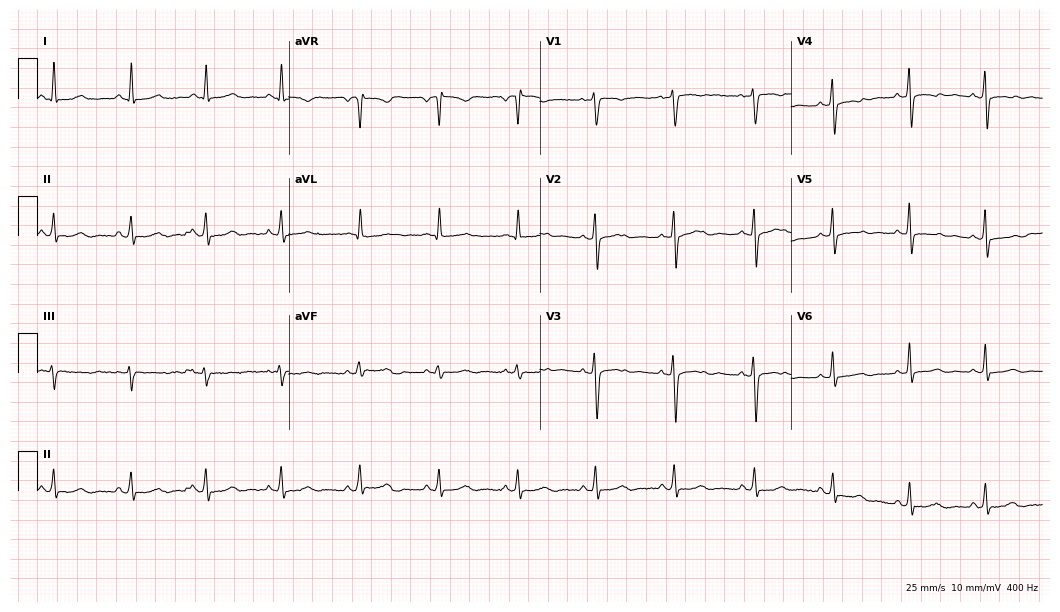
12-lead ECG from a female, 52 years old. Recorded interpretation: within normal limits.